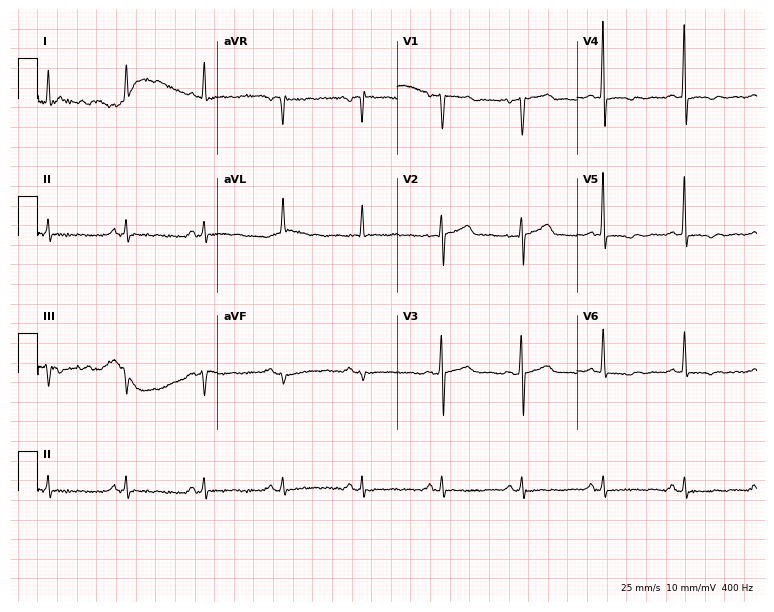
ECG — a 48-year-old male patient. Screened for six findings — first-degree AV block, right bundle branch block, left bundle branch block, sinus bradycardia, atrial fibrillation, sinus tachycardia — none is recorded.